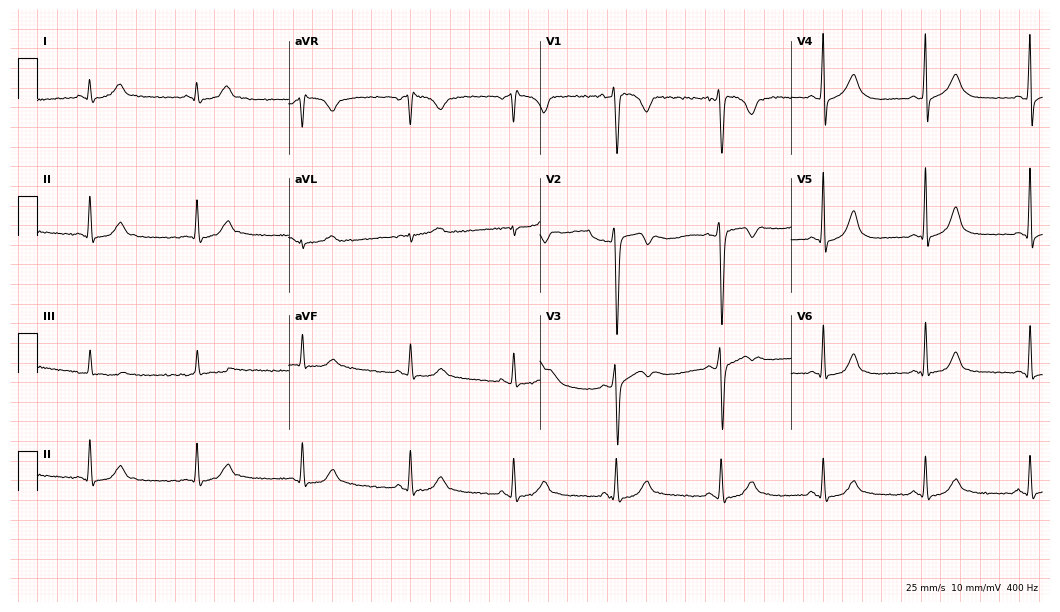
Standard 12-lead ECG recorded from a 24-year-old male (10.2-second recording at 400 Hz). None of these six findings is recorded: first-degree AV block, right bundle branch block, left bundle branch block, sinus bradycardia, atrial fibrillation, sinus tachycardia.